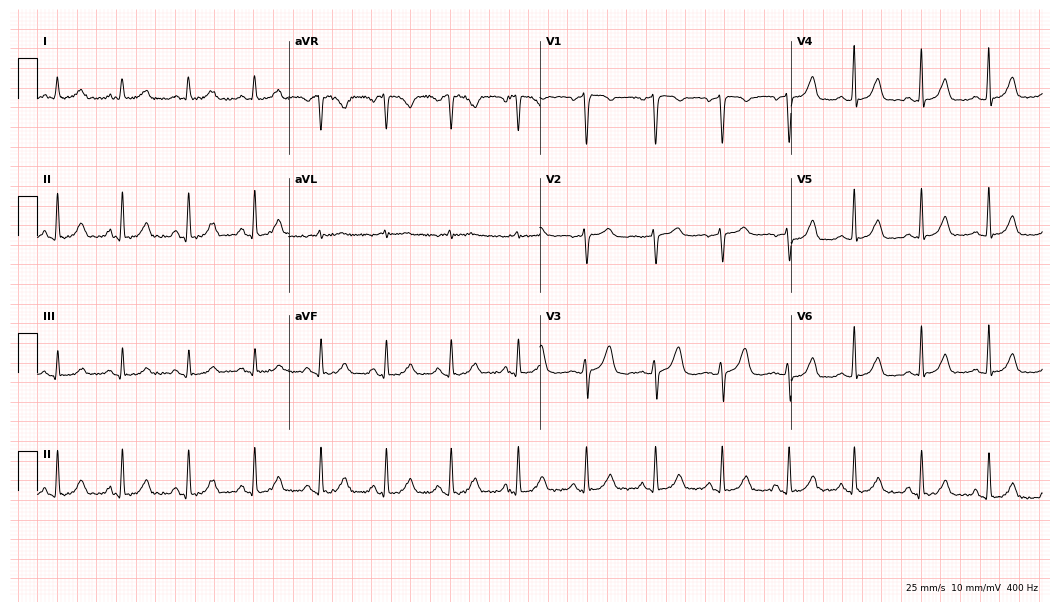
ECG — a 40-year-old female patient. Labelled as a normal ECG.